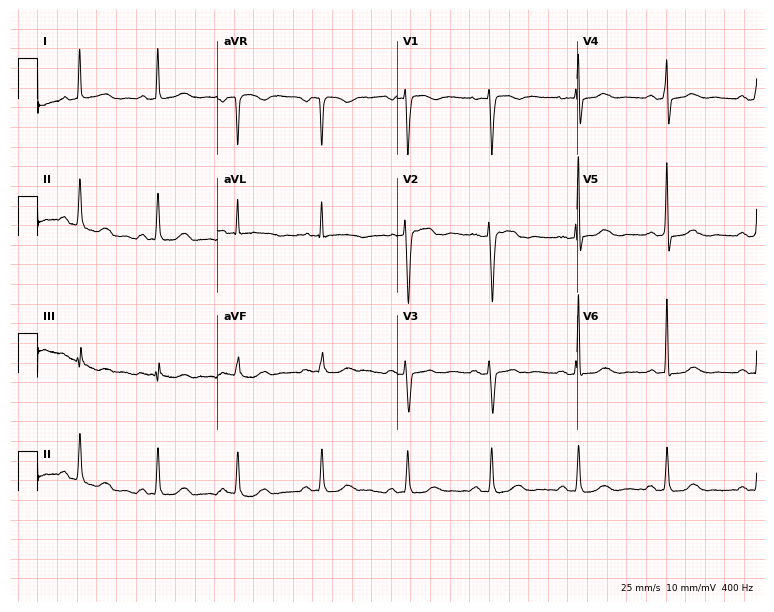
Standard 12-lead ECG recorded from a woman, 61 years old. Read as a normal ECG.